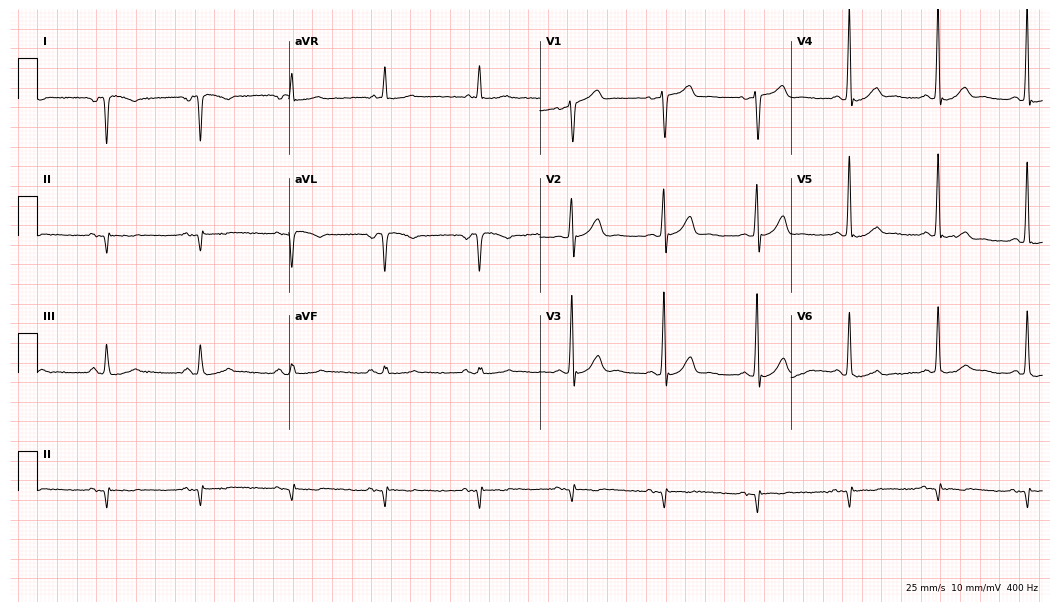
Resting 12-lead electrocardiogram. Patient: a man, 60 years old. None of these six findings is recorded: first-degree AV block, right bundle branch block, left bundle branch block, sinus bradycardia, atrial fibrillation, sinus tachycardia.